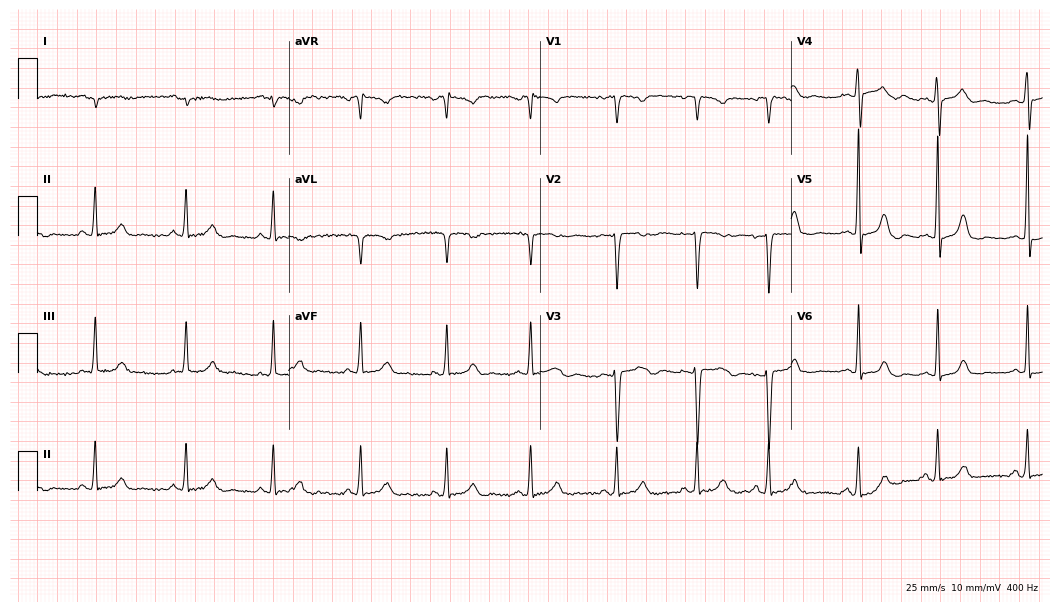
Standard 12-lead ECG recorded from a 32-year-old female. None of these six findings is recorded: first-degree AV block, right bundle branch block (RBBB), left bundle branch block (LBBB), sinus bradycardia, atrial fibrillation (AF), sinus tachycardia. Other findings, if any, are not listed.